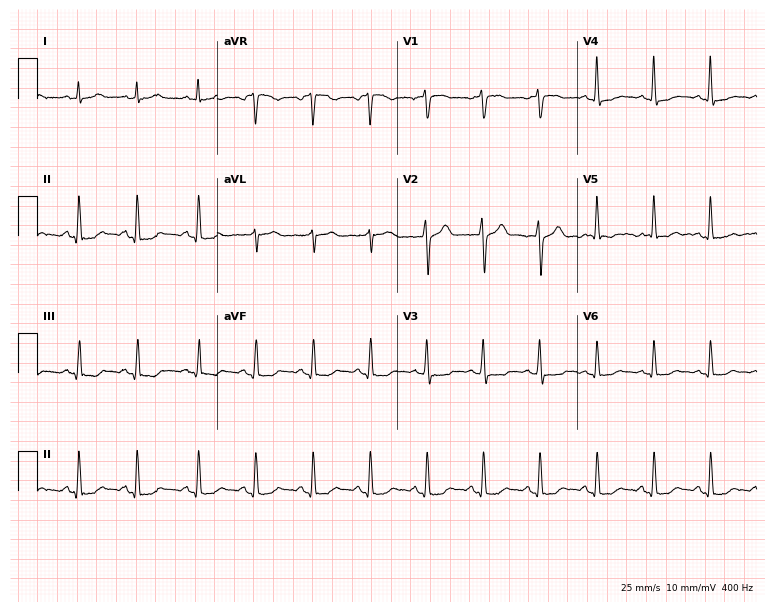
Resting 12-lead electrocardiogram. Patient: a 53-year-old male. The tracing shows sinus tachycardia (a sinus rate of 100 beats per minute or more).